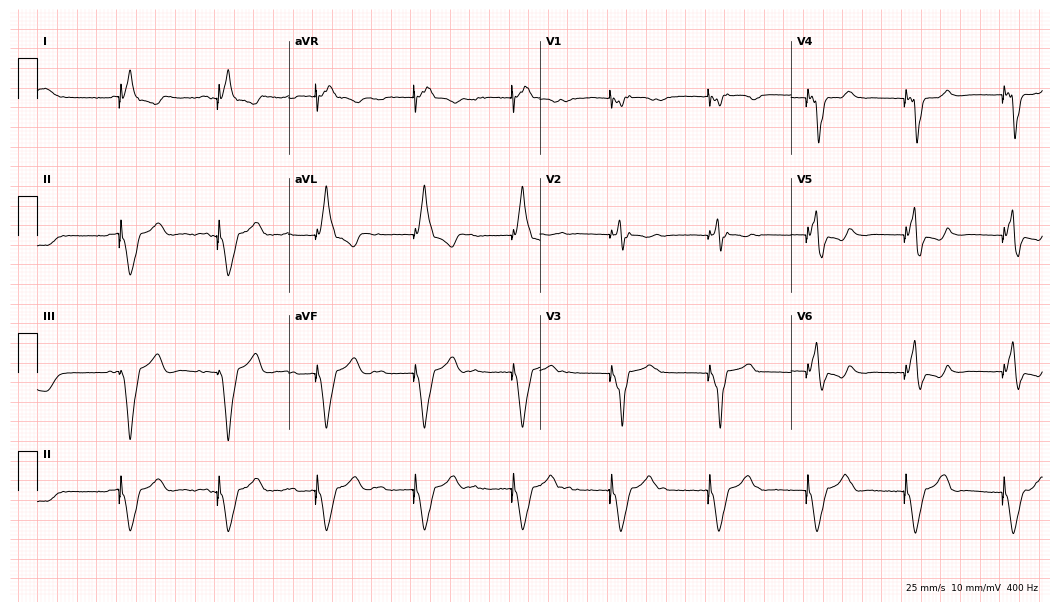
Standard 12-lead ECG recorded from a 63-year-old male patient (10.2-second recording at 400 Hz). None of these six findings is recorded: first-degree AV block, right bundle branch block (RBBB), left bundle branch block (LBBB), sinus bradycardia, atrial fibrillation (AF), sinus tachycardia.